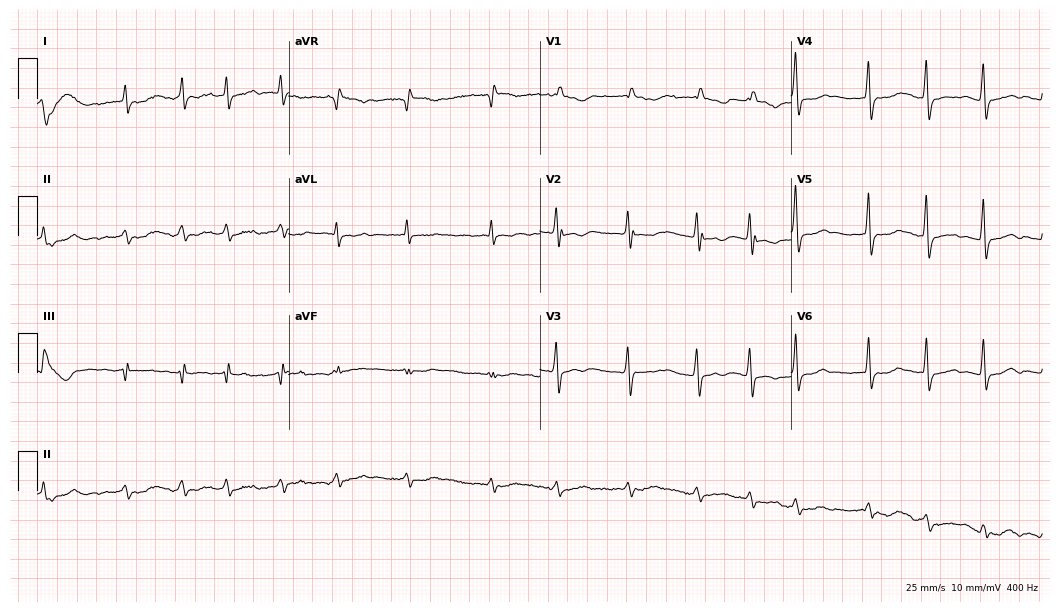
Resting 12-lead electrocardiogram (10.2-second recording at 400 Hz). Patient: a 69-year-old male. The tracing shows atrial fibrillation.